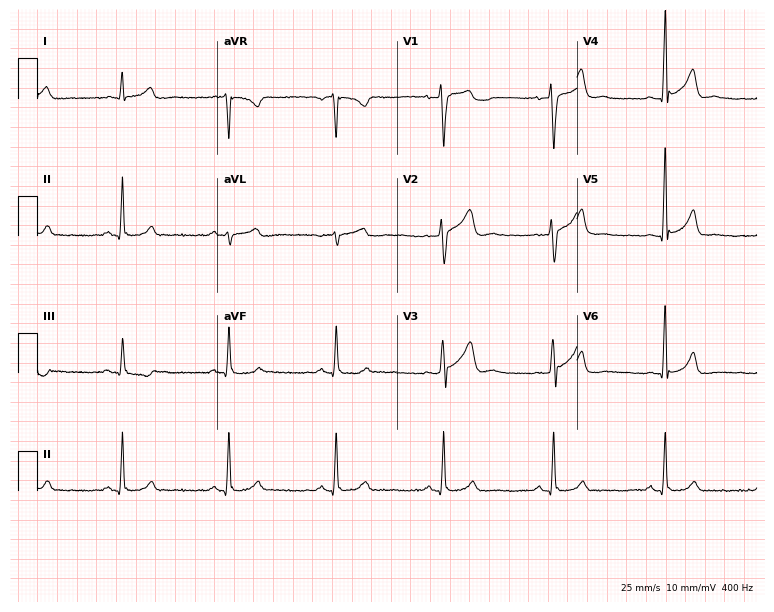
Electrocardiogram, a male, 45 years old. Overall reading on record: normal ECG.